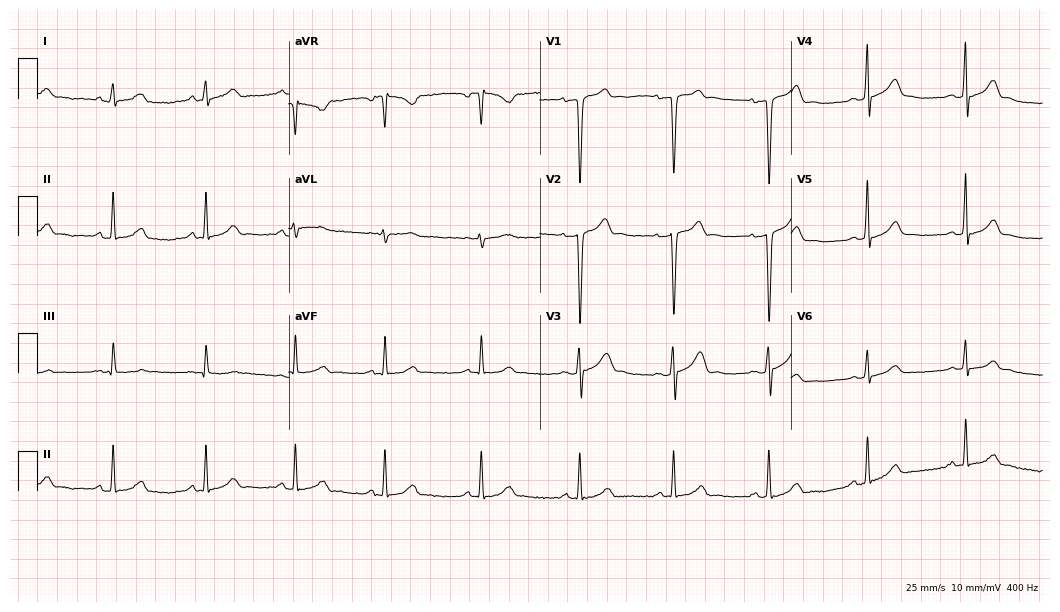
12-lead ECG from a man, 39 years old (10.2-second recording at 400 Hz). No first-degree AV block, right bundle branch block (RBBB), left bundle branch block (LBBB), sinus bradycardia, atrial fibrillation (AF) or sinus tachycardia recorded for this tracing. Findings outside these six are not listed.